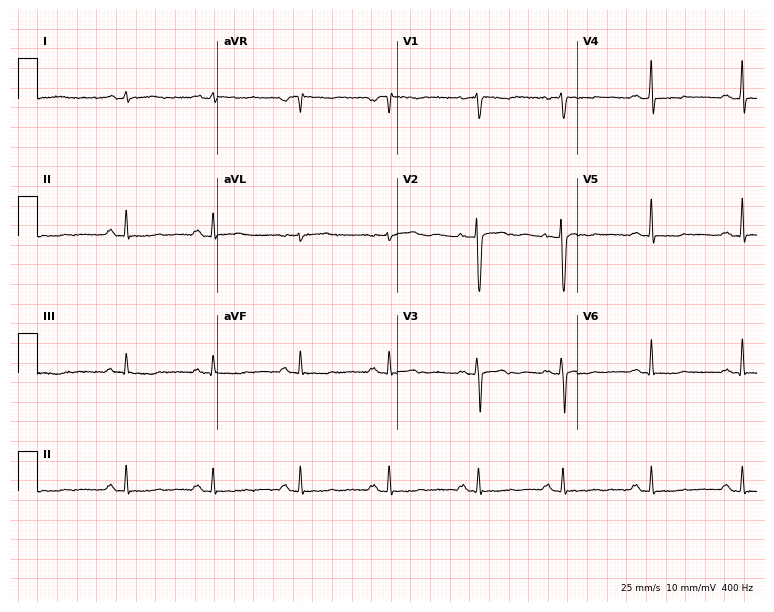
12-lead ECG (7.3-second recording at 400 Hz) from a female patient, 25 years old. Screened for six findings — first-degree AV block, right bundle branch block, left bundle branch block, sinus bradycardia, atrial fibrillation, sinus tachycardia — none is recorded. Only these six findings were labelled.